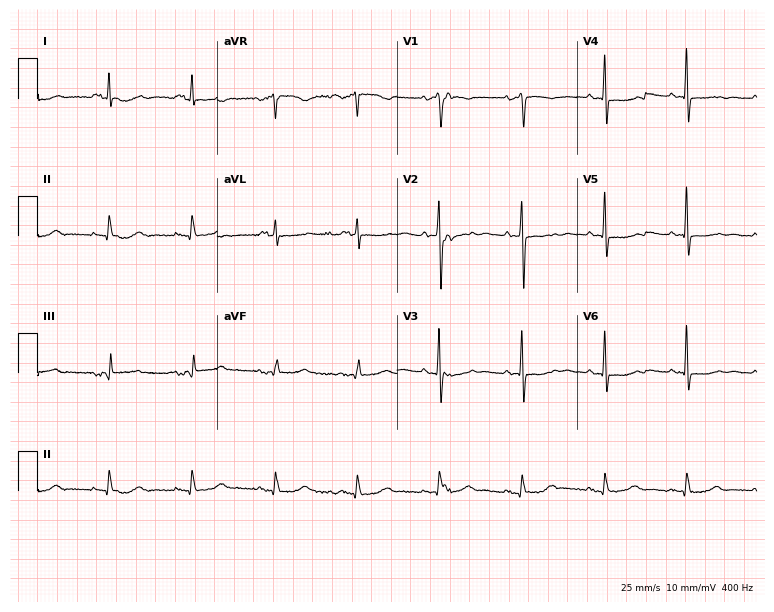
12-lead ECG (7.3-second recording at 400 Hz) from a 66-year-old male. Screened for six findings — first-degree AV block, right bundle branch block, left bundle branch block, sinus bradycardia, atrial fibrillation, sinus tachycardia — none is recorded.